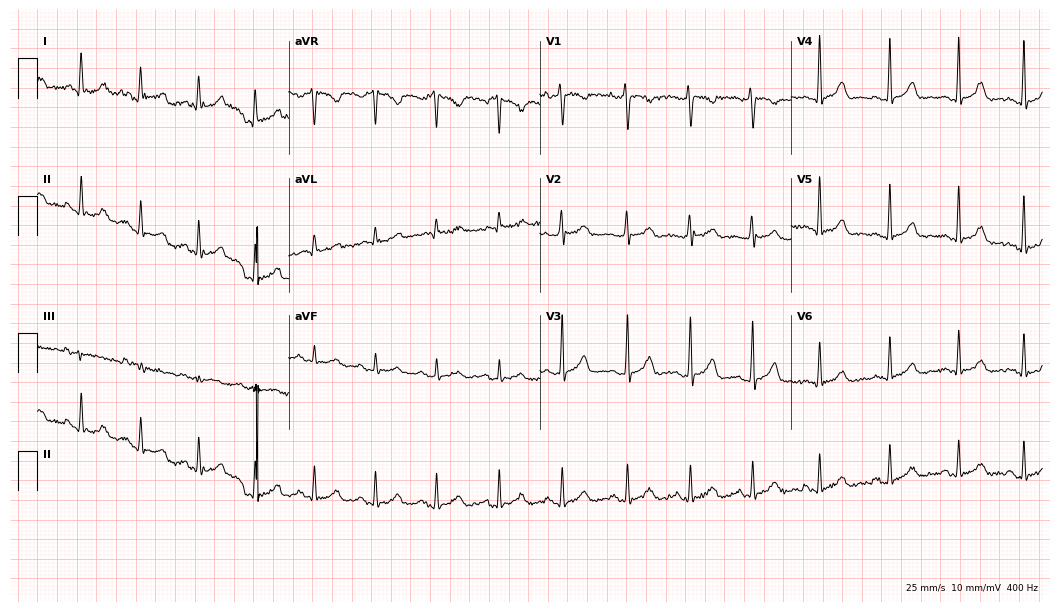
Standard 12-lead ECG recorded from a woman, 18 years old. None of these six findings is recorded: first-degree AV block, right bundle branch block (RBBB), left bundle branch block (LBBB), sinus bradycardia, atrial fibrillation (AF), sinus tachycardia. Findings outside these six are not listed.